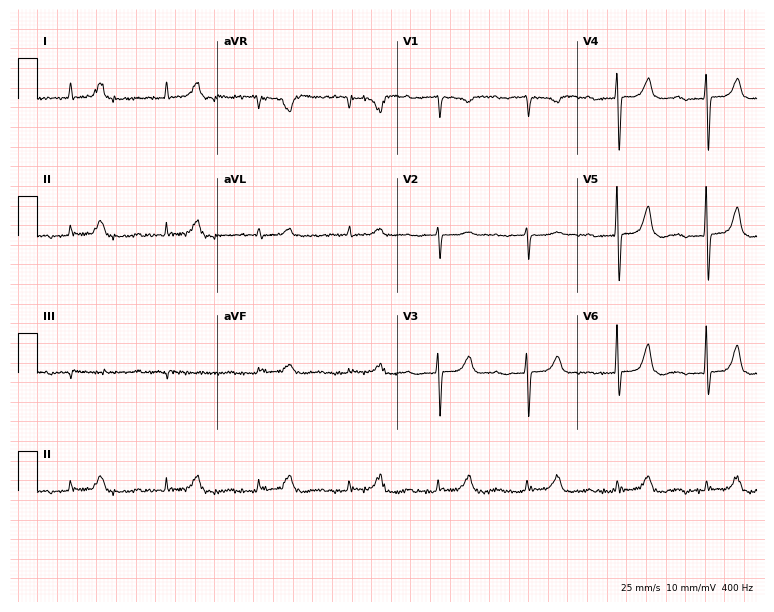
12-lead ECG (7.3-second recording at 400 Hz) from an 81-year-old female patient. Screened for six findings — first-degree AV block, right bundle branch block, left bundle branch block, sinus bradycardia, atrial fibrillation, sinus tachycardia — none is recorded. Findings outside these six are not listed.